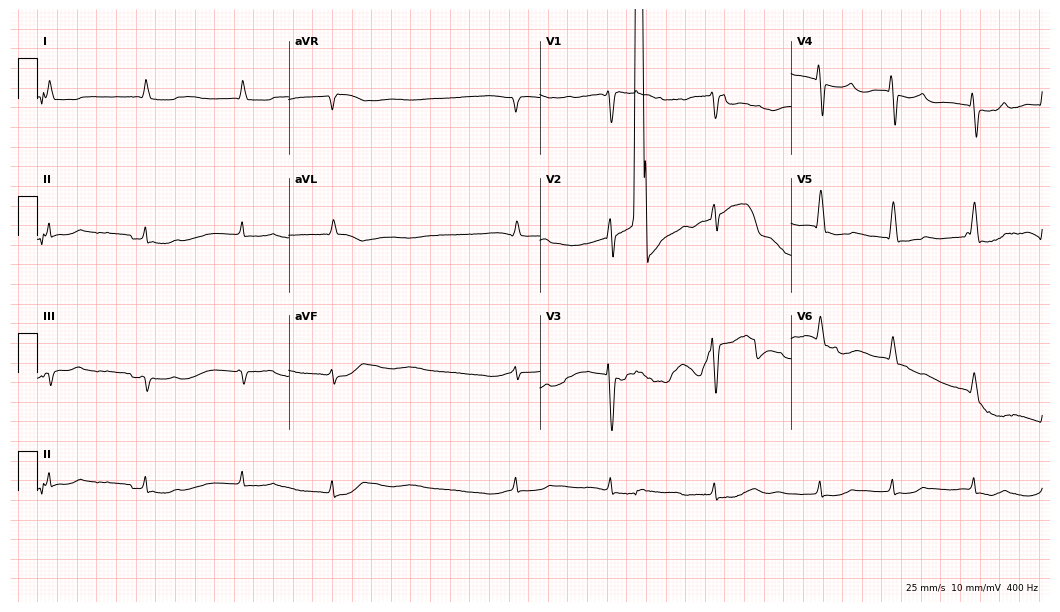
Resting 12-lead electrocardiogram. Patient: a female, 81 years old. The tracing shows atrial fibrillation (AF).